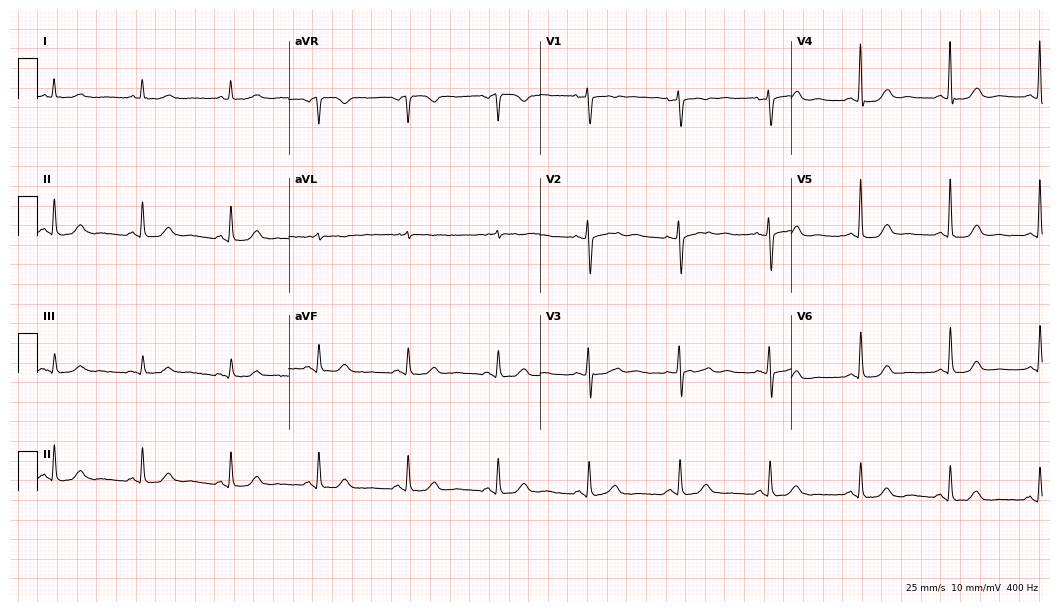
Electrocardiogram (10.2-second recording at 400 Hz), a female, 62 years old. Overall reading on record: normal ECG.